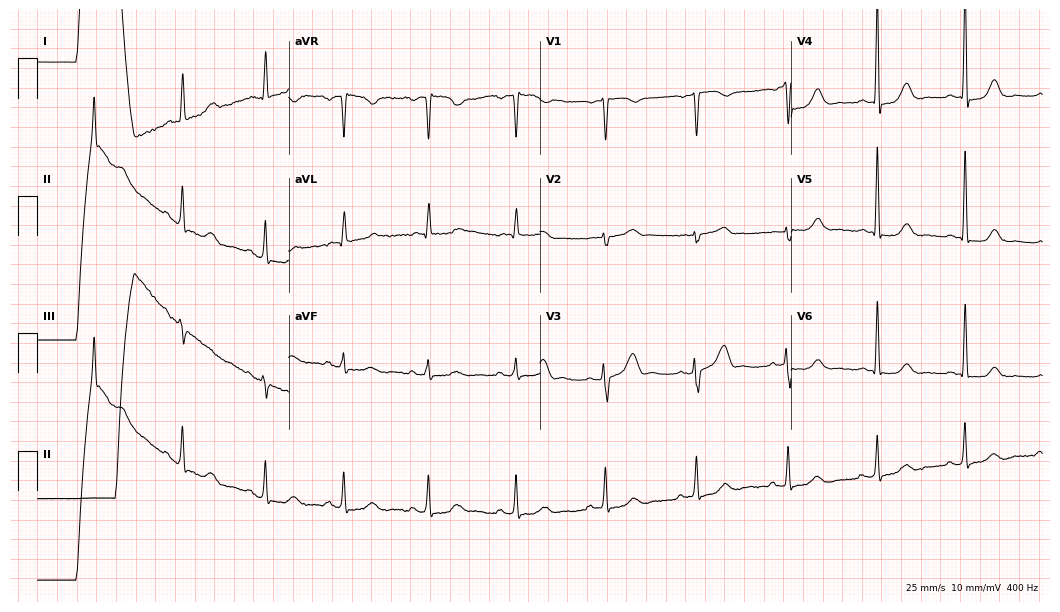
Resting 12-lead electrocardiogram. Patient: a female, 57 years old. Read as a normal ECG.